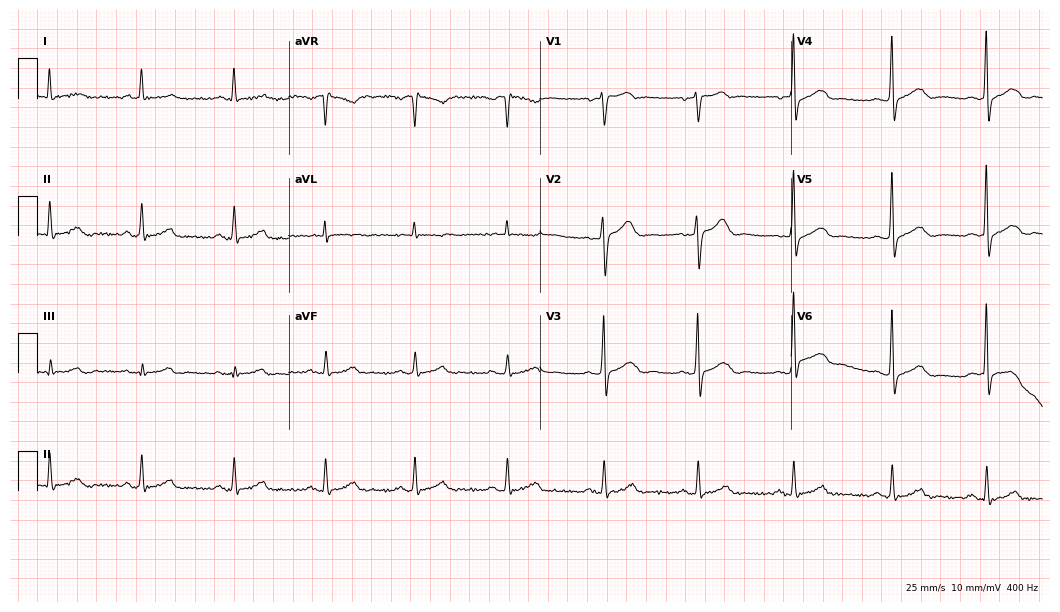
Standard 12-lead ECG recorded from a 60-year-old male (10.2-second recording at 400 Hz). Read as a normal ECG.